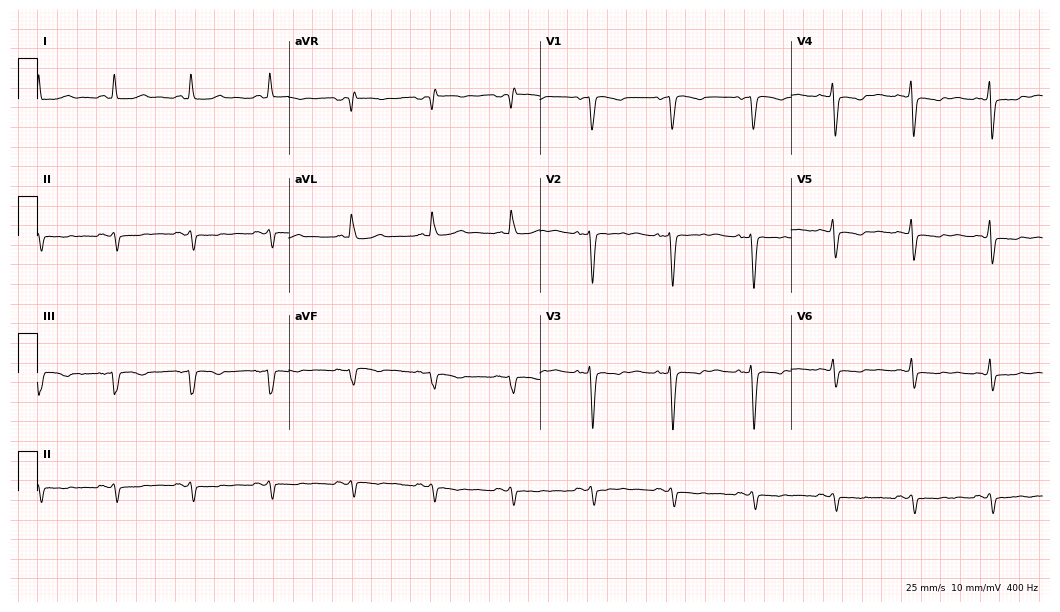
Resting 12-lead electrocardiogram. Patient: a woman, 56 years old. None of these six findings is recorded: first-degree AV block, right bundle branch block, left bundle branch block, sinus bradycardia, atrial fibrillation, sinus tachycardia.